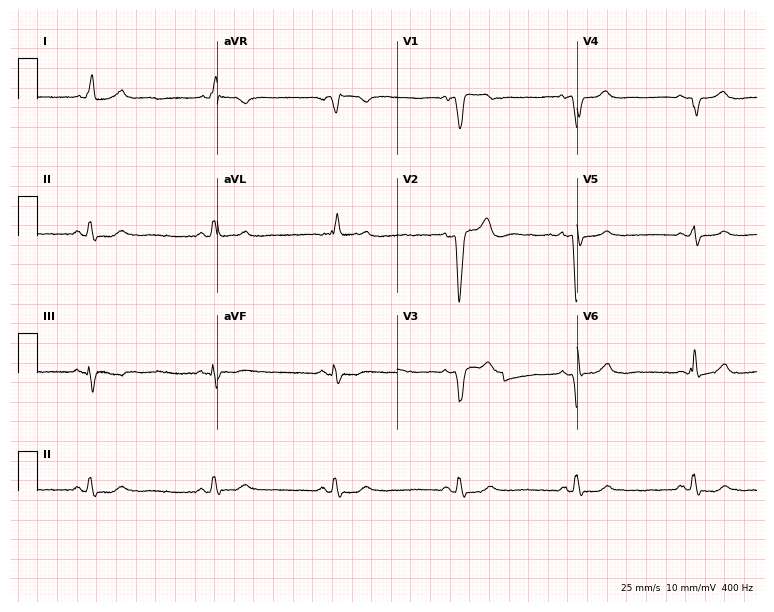
12-lead ECG (7.3-second recording at 400 Hz) from a 76-year-old female. Screened for six findings — first-degree AV block, right bundle branch block, left bundle branch block, sinus bradycardia, atrial fibrillation, sinus tachycardia — none is recorded. Findings outside these six are not listed.